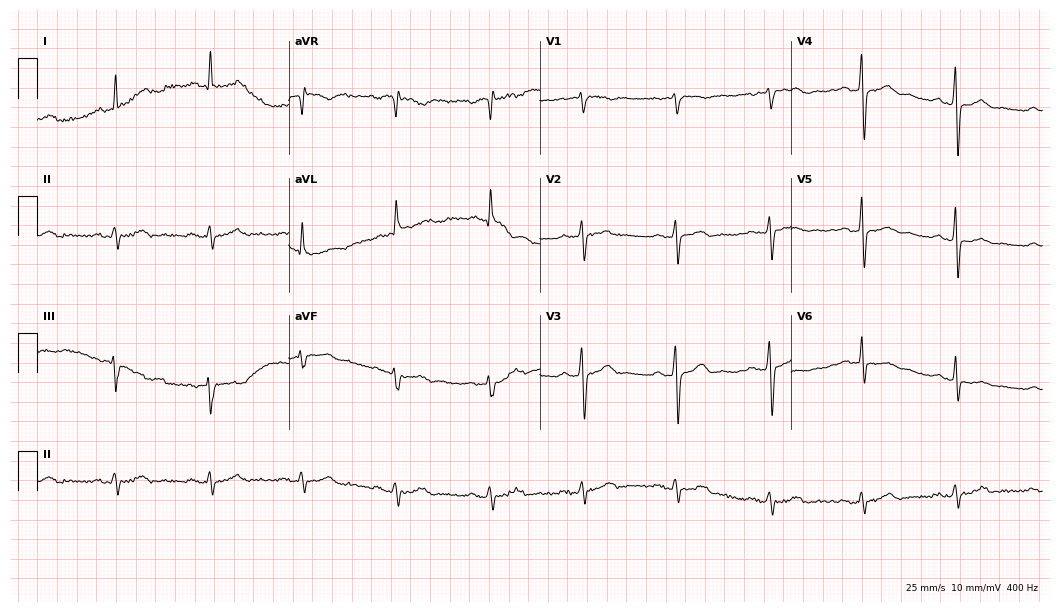
Electrocardiogram, a male patient, 64 years old. Of the six screened findings (first-degree AV block, right bundle branch block (RBBB), left bundle branch block (LBBB), sinus bradycardia, atrial fibrillation (AF), sinus tachycardia), none is recorded. Findings outside these six are not listed.